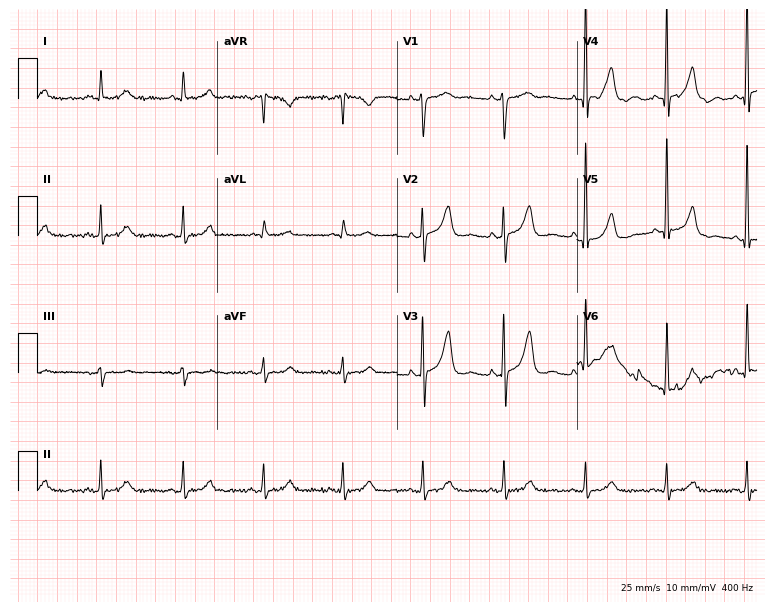
12-lead ECG from a man, 66 years old (7.3-second recording at 400 Hz). No first-degree AV block, right bundle branch block (RBBB), left bundle branch block (LBBB), sinus bradycardia, atrial fibrillation (AF) or sinus tachycardia recorded for this tracing.